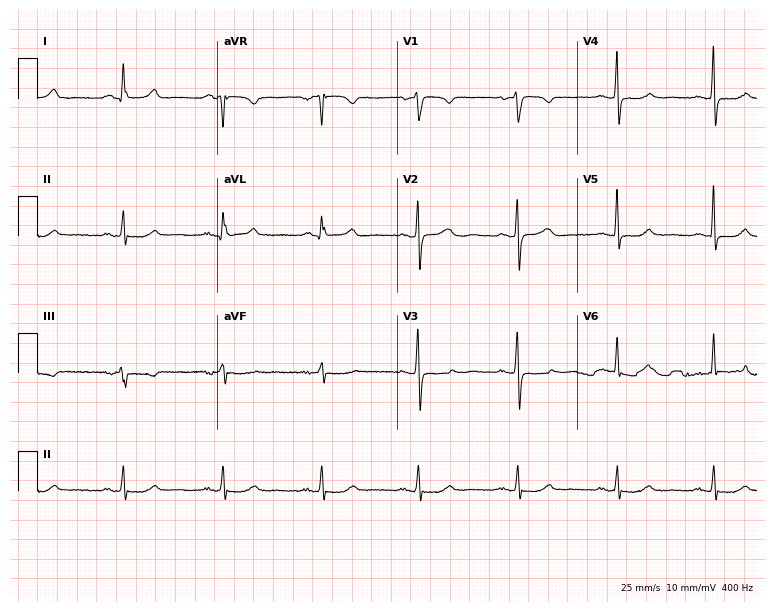
12-lead ECG from a 57-year-old female. Screened for six findings — first-degree AV block, right bundle branch block, left bundle branch block, sinus bradycardia, atrial fibrillation, sinus tachycardia — none is recorded. Other findings, if any, are not listed.